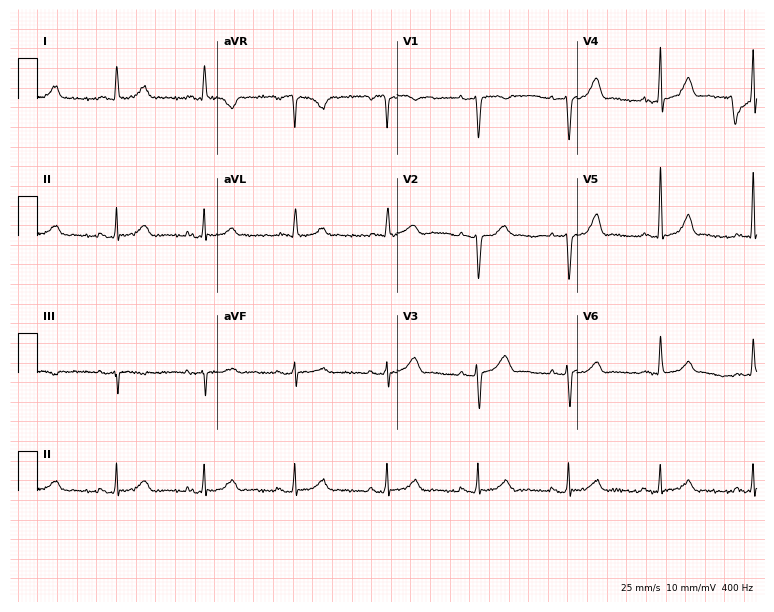
Electrocardiogram, a 60-year-old woman. Overall reading on record: normal ECG.